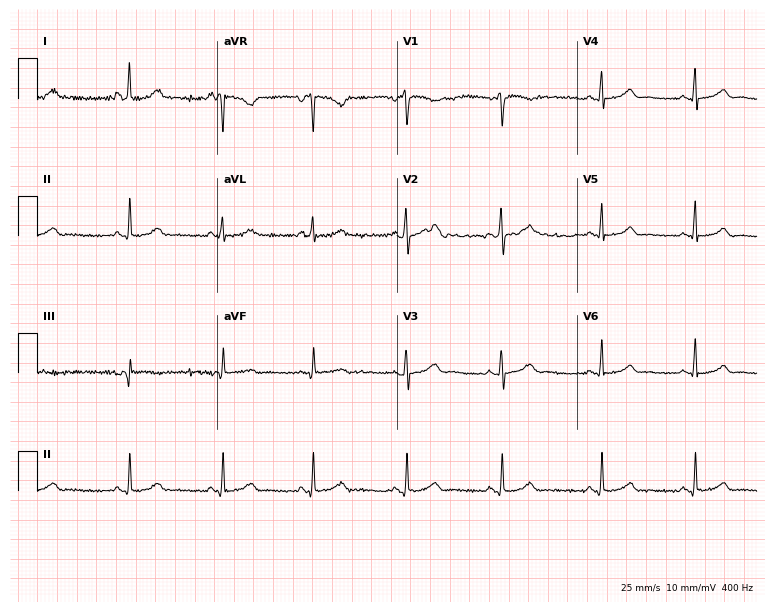
ECG — a woman, 36 years old. Labelled as a normal ECG.